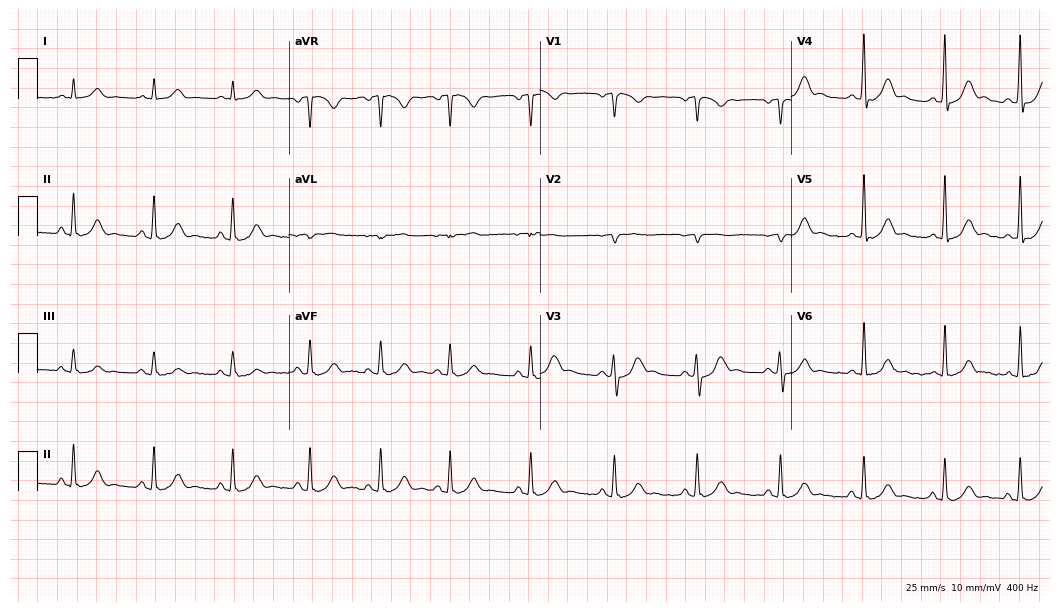
Standard 12-lead ECG recorded from a 38-year-old male (10.2-second recording at 400 Hz). Read as a normal ECG.